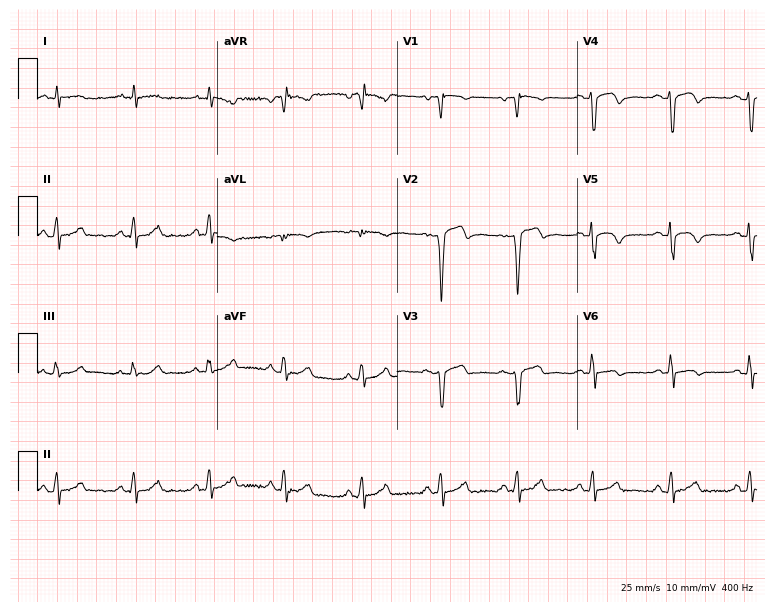
12-lead ECG from a 29-year-old male (7.3-second recording at 400 Hz). No first-degree AV block, right bundle branch block, left bundle branch block, sinus bradycardia, atrial fibrillation or sinus tachycardia recorded for this tracing. Other findings, if any, are not listed.